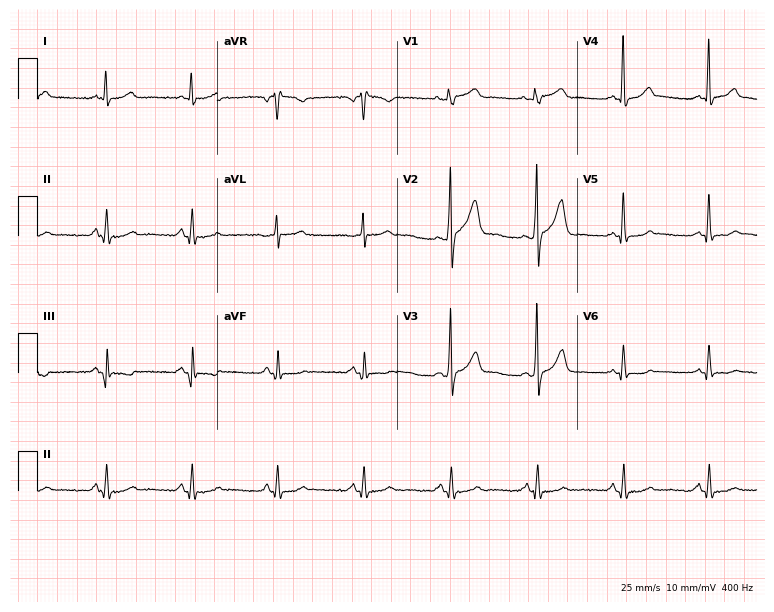
ECG — a 63-year-old man. Screened for six findings — first-degree AV block, right bundle branch block, left bundle branch block, sinus bradycardia, atrial fibrillation, sinus tachycardia — none is recorded.